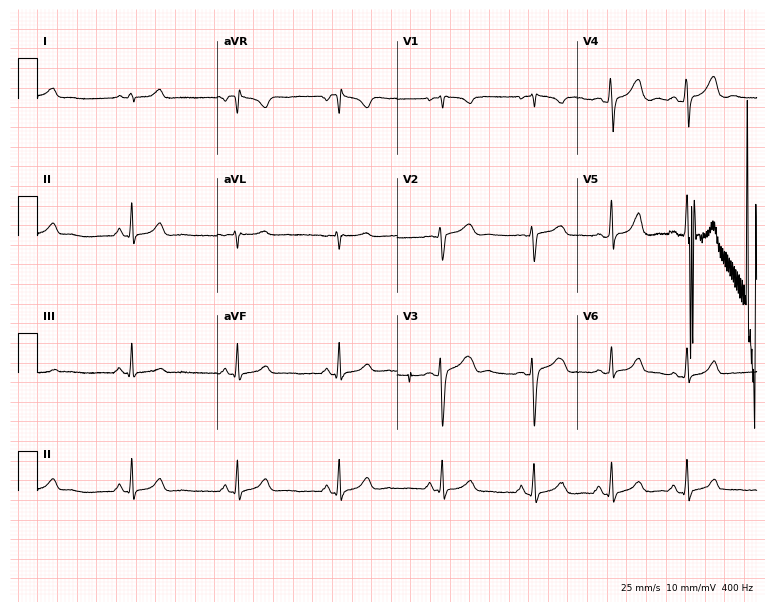
12-lead ECG from a female patient, 19 years old. Screened for six findings — first-degree AV block, right bundle branch block, left bundle branch block, sinus bradycardia, atrial fibrillation, sinus tachycardia — none is recorded. Findings outside these six are not listed.